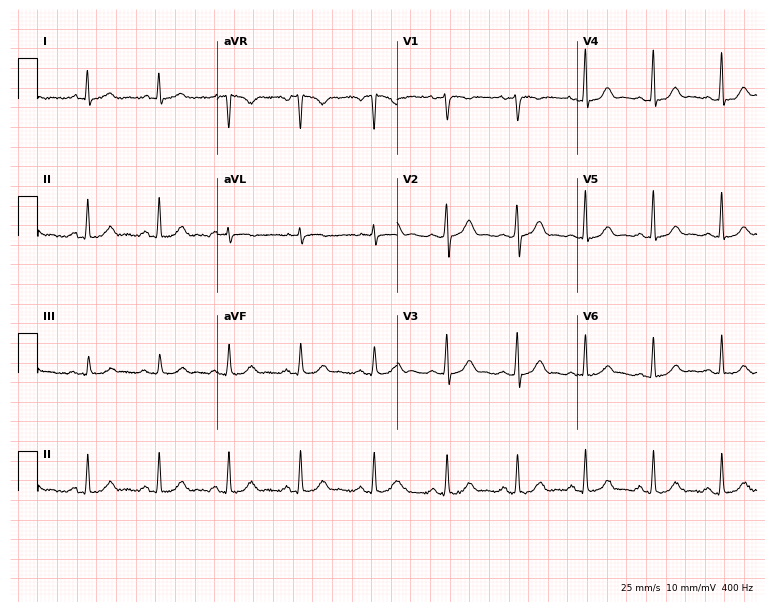
Electrocardiogram (7.3-second recording at 400 Hz), a female, 26 years old. Overall reading on record: normal ECG.